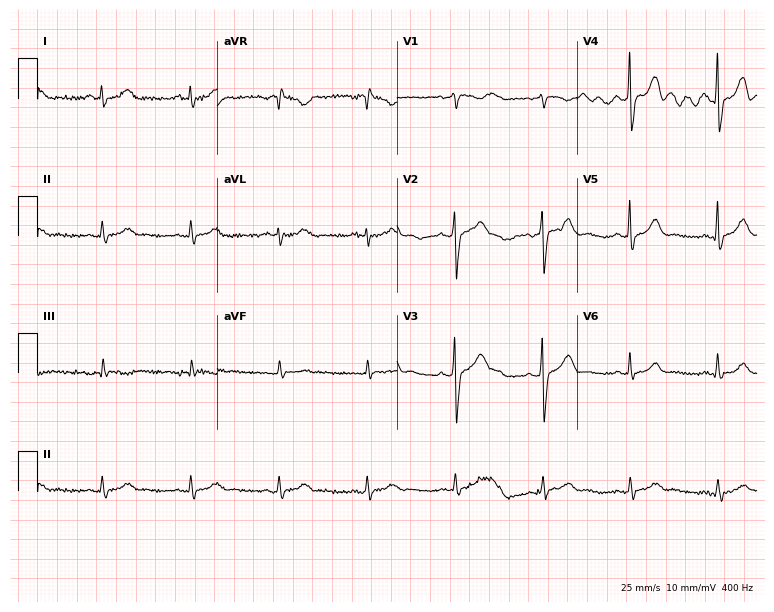
Electrocardiogram, a 67-year-old man. Of the six screened findings (first-degree AV block, right bundle branch block (RBBB), left bundle branch block (LBBB), sinus bradycardia, atrial fibrillation (AF), sinus tachycardia), none is recorded. Findings outside these six are not listed.